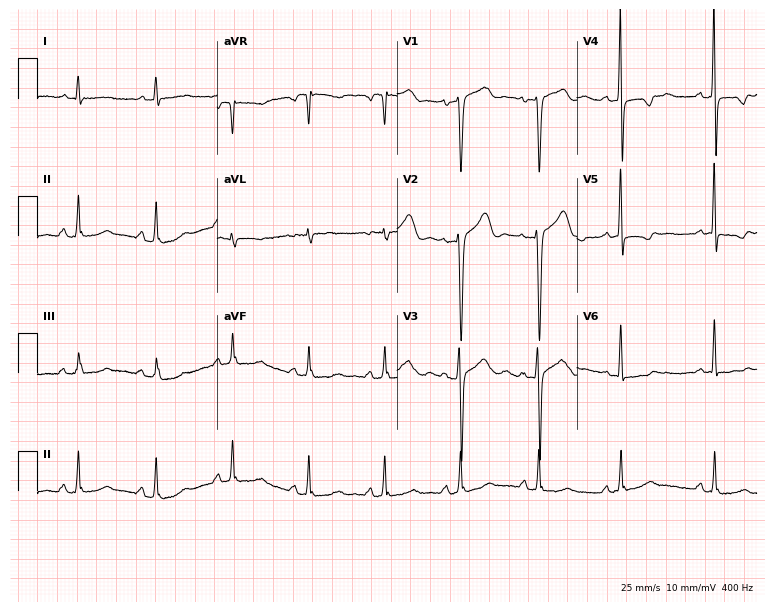
Resting 12-lead electrocardiogram (7.3-second recording at 400 Hz). Patient: a female, 56 years old. None of these six findings is recorded: first-degree AV block, right bundle branch block, left bundle branch block, sinus bradycardia, atrial fibrillation, sinus tachycardia.